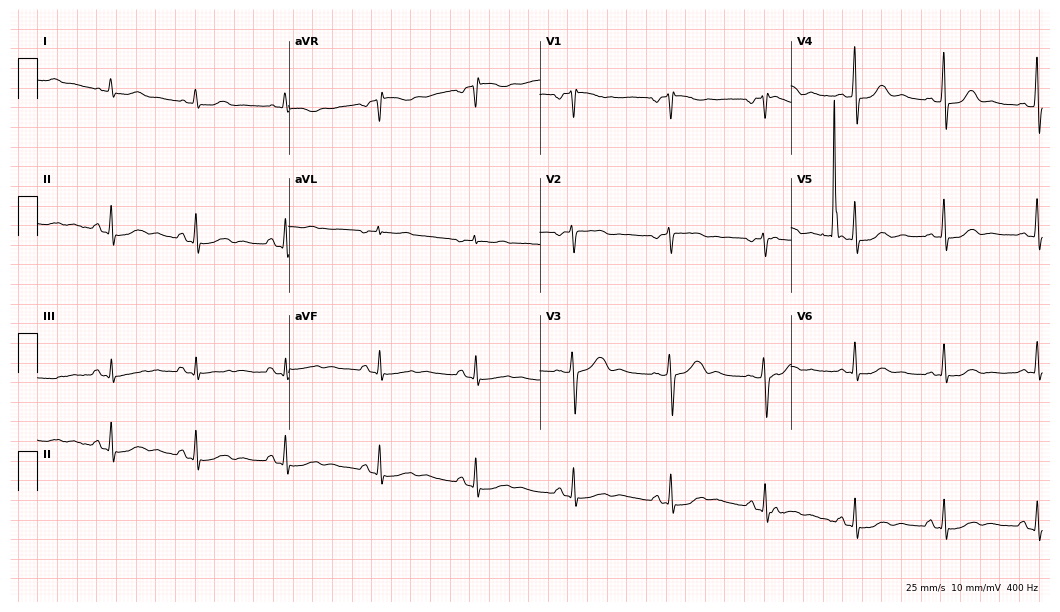
12-lead ECG from a 43-year-old female patient. No first-degree AV block, right bundle branch block, left bundle branch block, sinus bradycardia, atrial fibrillation or sinus tachycardia recorded for this tracing. Findings outside these six are not listed.